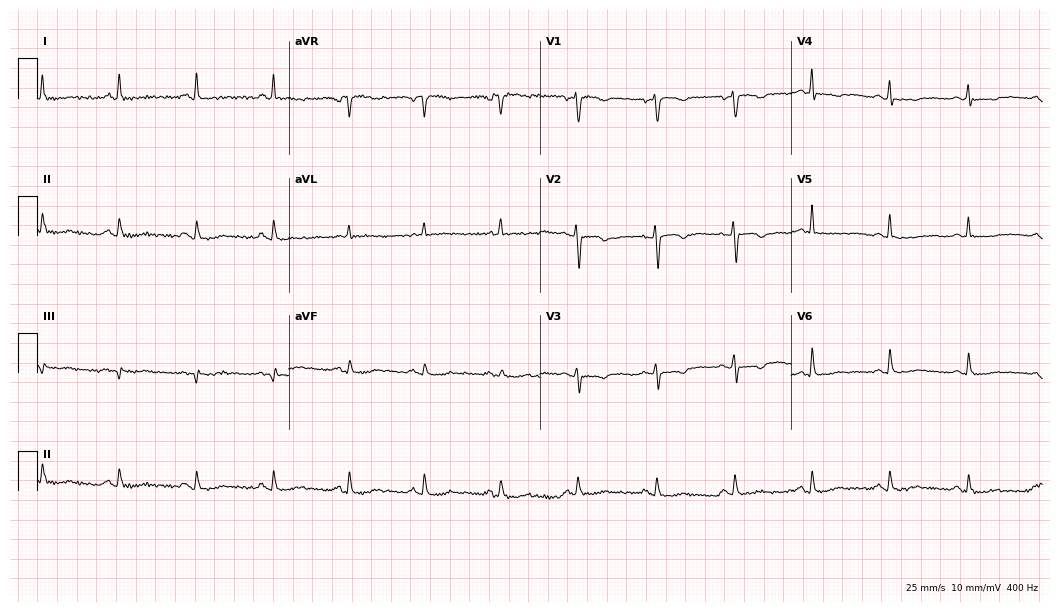
12-lead ECG from a female, 49 years old (10.2-second recording at 400 Hz). No first-degree AV block, right bundle branch block (RBBB), left bundle branch block (LBBB), sinus bradycardia, atrial fibrillation (AF) or sinus tachycardia recorded for this tracing.